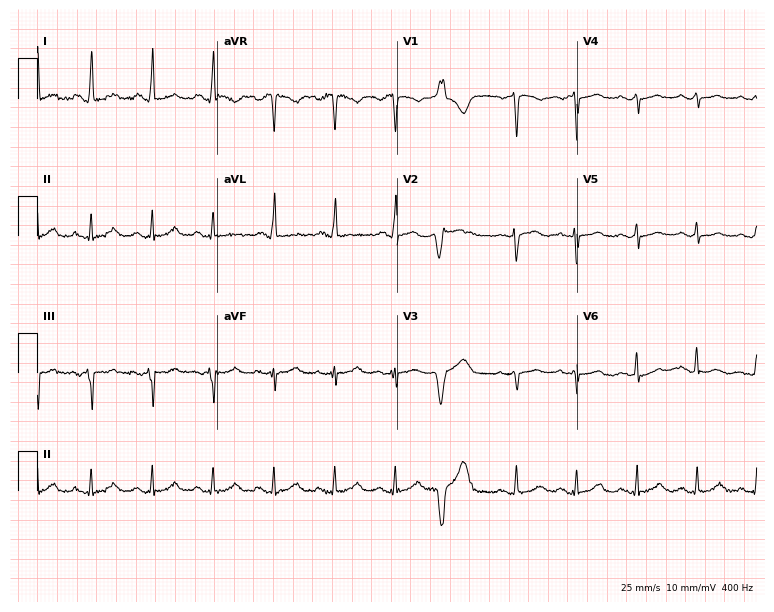
12-lead ECG (7.3-second recording at 400 Hz) from a 72-year-old female. Screened for six findings — first-degree AV block, right bundle branch block, left bundle branch block, sinus bradycardia, atrial fibrillation, sinus tachycardia — none is recorded. Only these six findings were labelled.